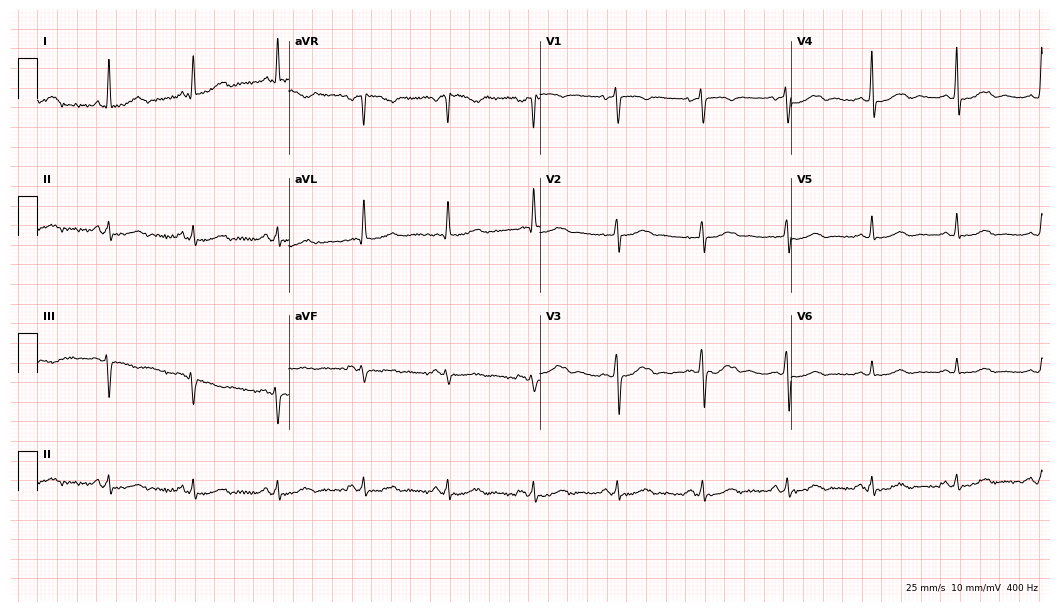
12-lead ECG (10.2-second recording at 400 Hz) from a woman, 68 years old. Labelled as a normal ECG.